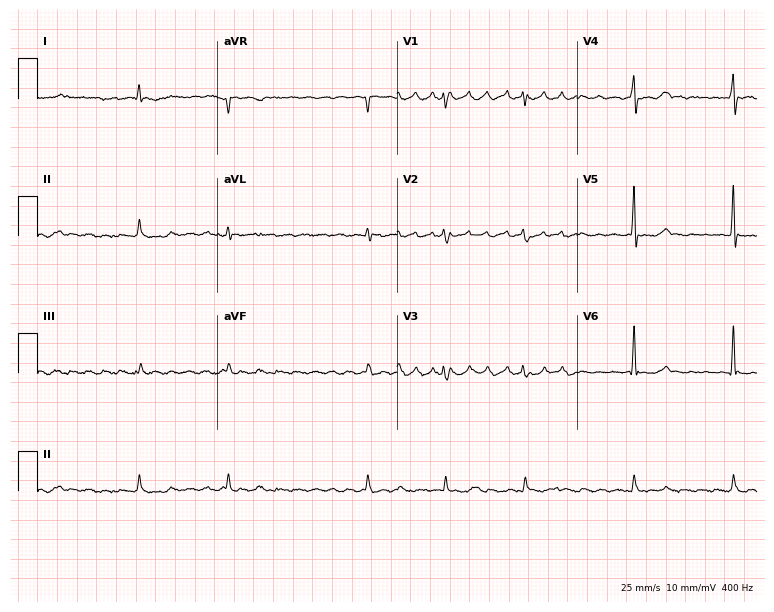
Standard 12-lead ECG recorded from a 71-year-old female (7.3-second recording at 400 Hz). None of these six findings is recorded: first-degree AV block, right bundle branch block (RBBB), left bundle branch block (LBBB), sinus bradycardia, atrial fibrillation (AF), sinus tachycardia.